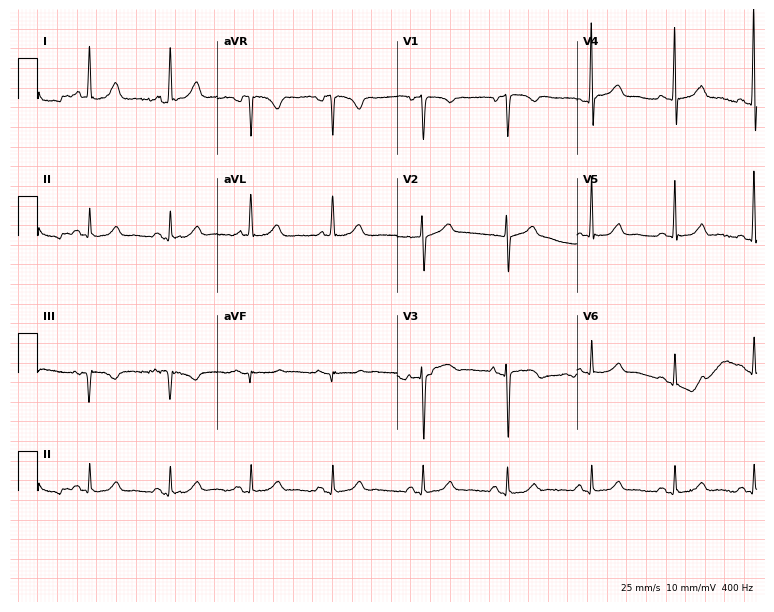
12-lead ECG from an 86-year-old female. No first-degree AV block, right bundle branch block, left bundle branch block, sinus bradycardia, atrial fibrillation or sinus tachycardia recorded for this tracing.